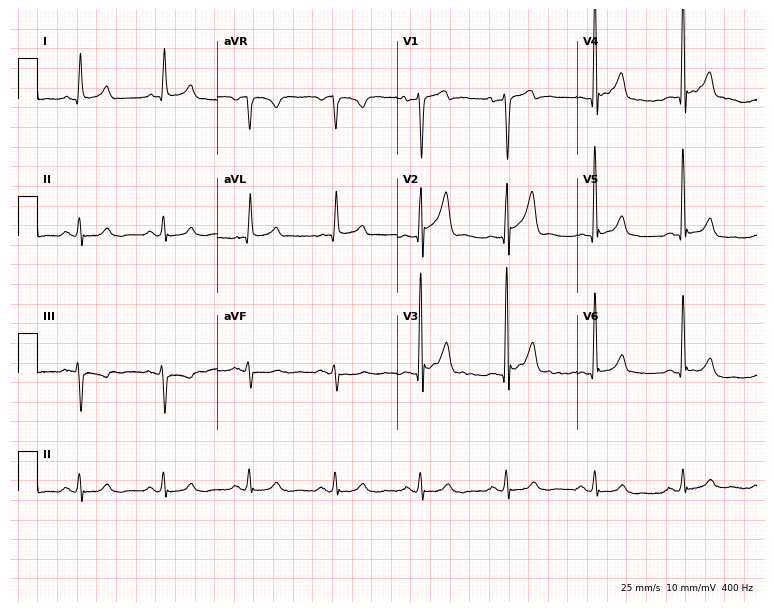
Electrocardiogram, a 66-year-old male patient. Of the six screened findings (first-degree AV block, right bundle branch block, left bundle branch block, sinus bradycardia, atrial fibrillation, sinus tachycardia), none is recorded.